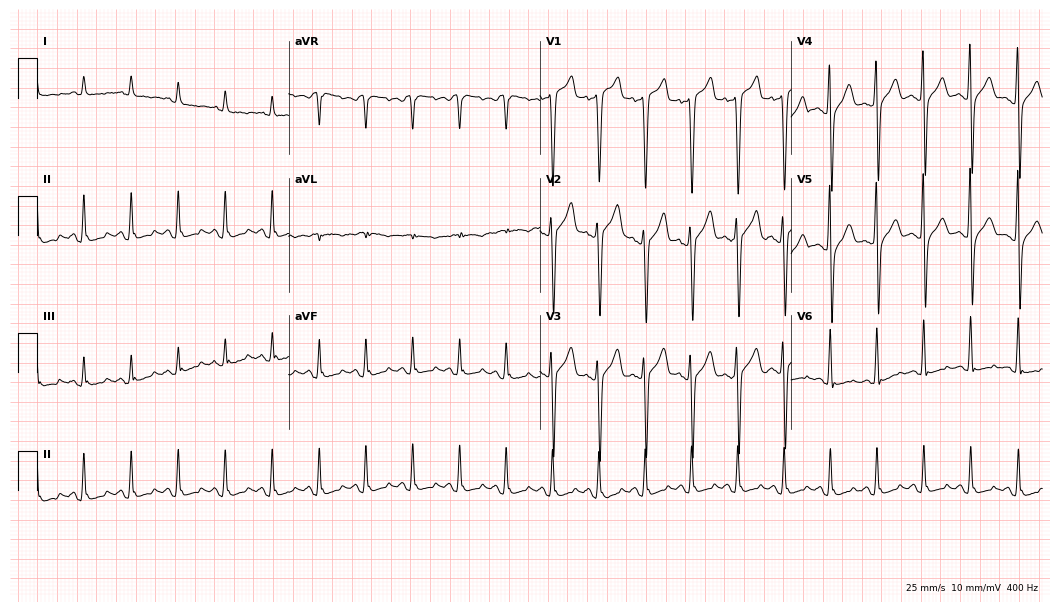
ECG — a 34-year-old woman. Findings include sinus tachycardia (a sinus rate of 100 beats per minute or more).